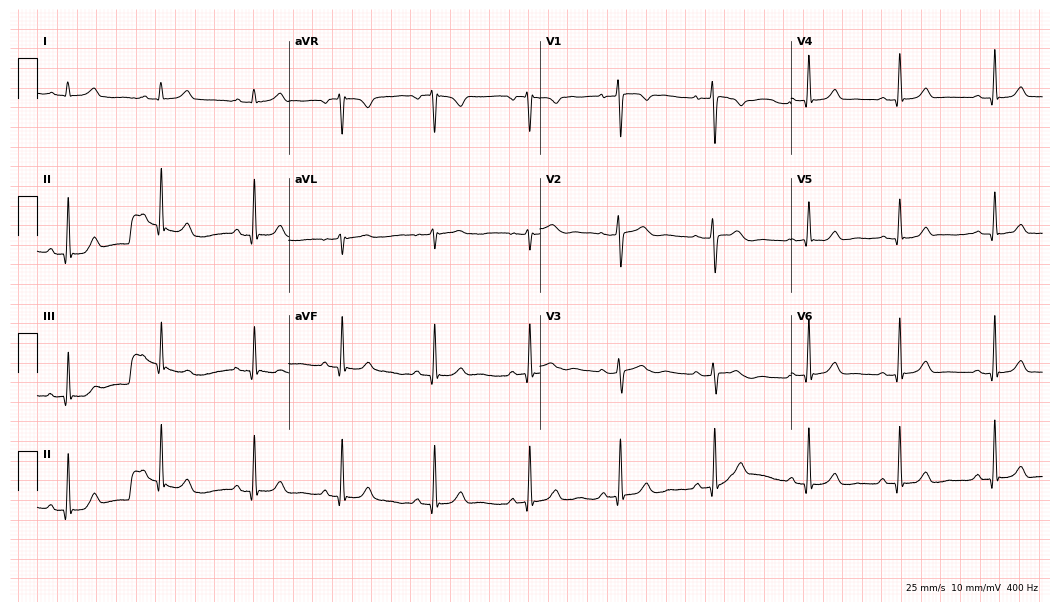
Standard 12-lead ECG recorded from a female patient, 43 years old. None of these six findings is recorded: first-degree AV block, right bundle branch block, left bundle branch block, sinus bradycardia, atrial fibrillation, sinus tachycardia.